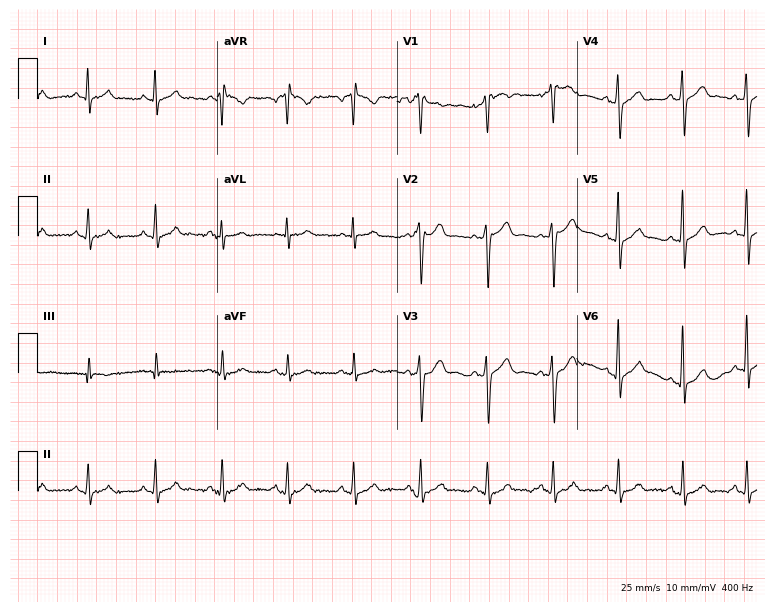
Resting 12-lead electrocardiogram. Patient: a male, 45 years old. None of these six findings is recorded: first-degree AV block, right bundle branch block (RBBB), left bundle branch block (LBBB), sinus bradycardia, atrial fibrillation (AF), sinus tachycardia. Only these six findings were labelled.